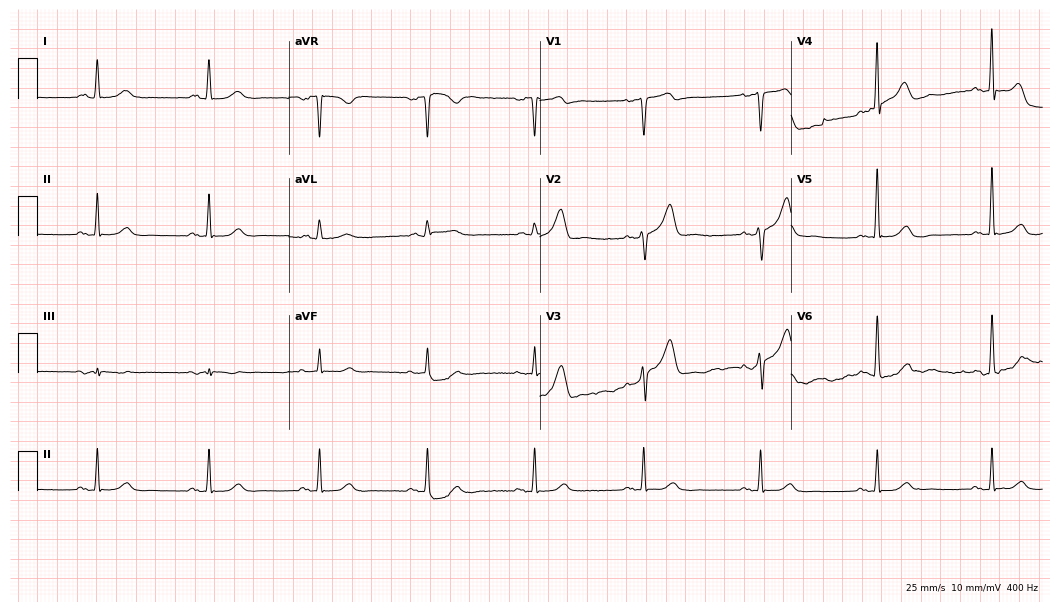
ECG (10.2-second recording at 400 Hz) — a 66-year-old male patient. Labelled as a normal ECG.